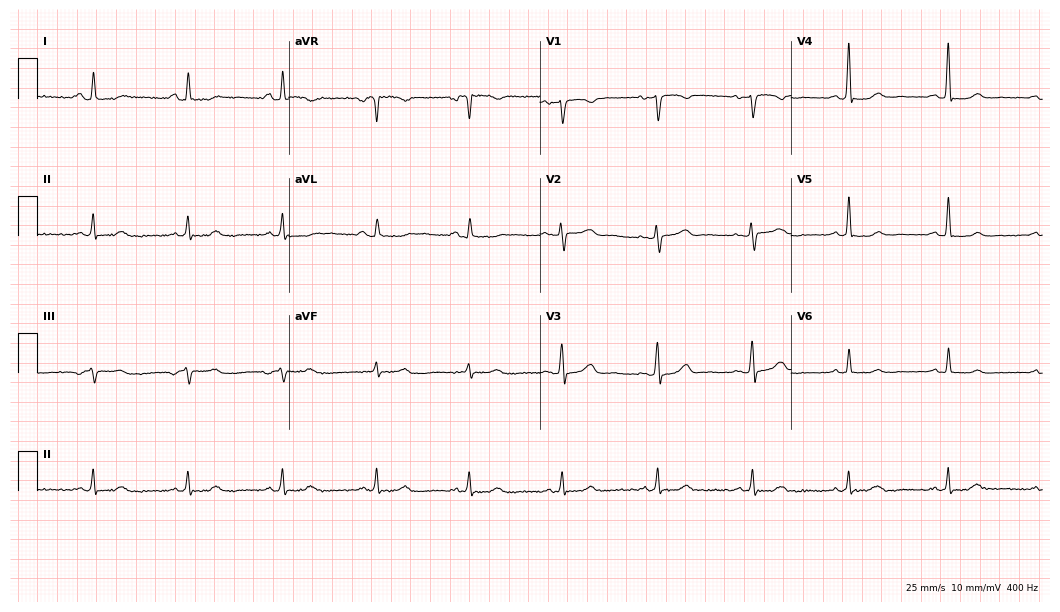
12-lead ECG from a woman, 59 years old. Labelled as a normal ECG.